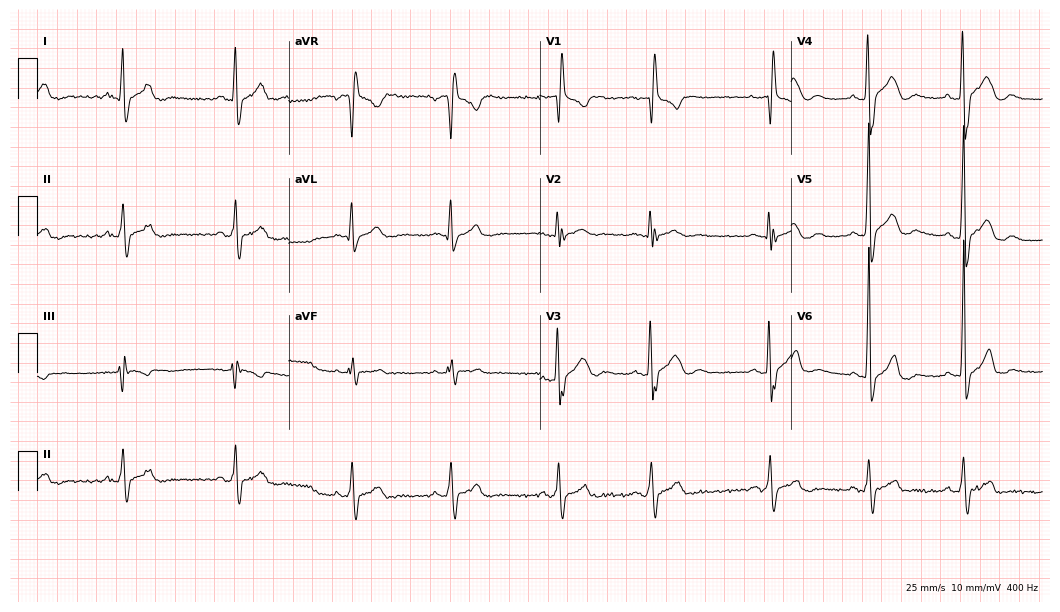
Standard 12-lead ECG recorded from a man, 26 years old. None of these six findings is recorded: first-degree AV block, right bundle branch block, left bundle branch block, sinus bradycardia, atrial fibrillation, sinus tachycardia.